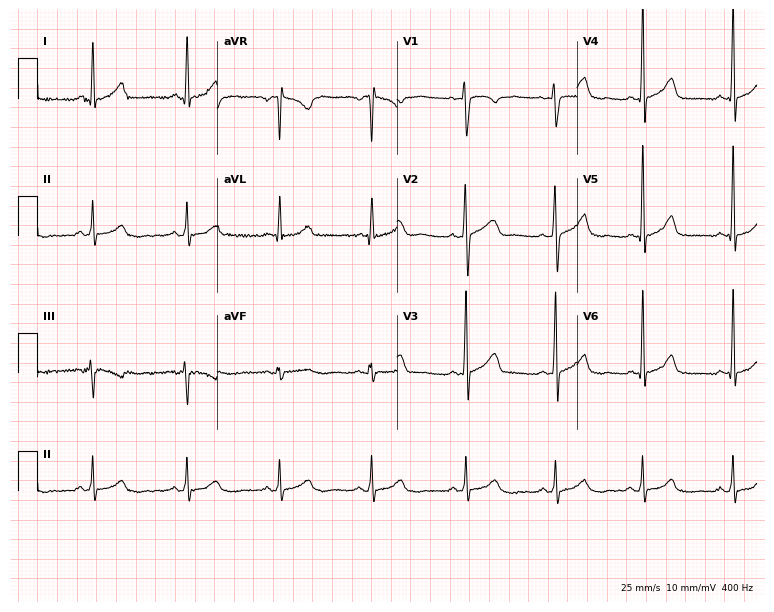
Electrocardiogram, a female patient, 41 years old. Of the six screened findings (first-degree AV block, right bundle branch block, left bundle branch block, sinus bradycardia, atrial fibrillation, sinus tachycardia), none is recorded.